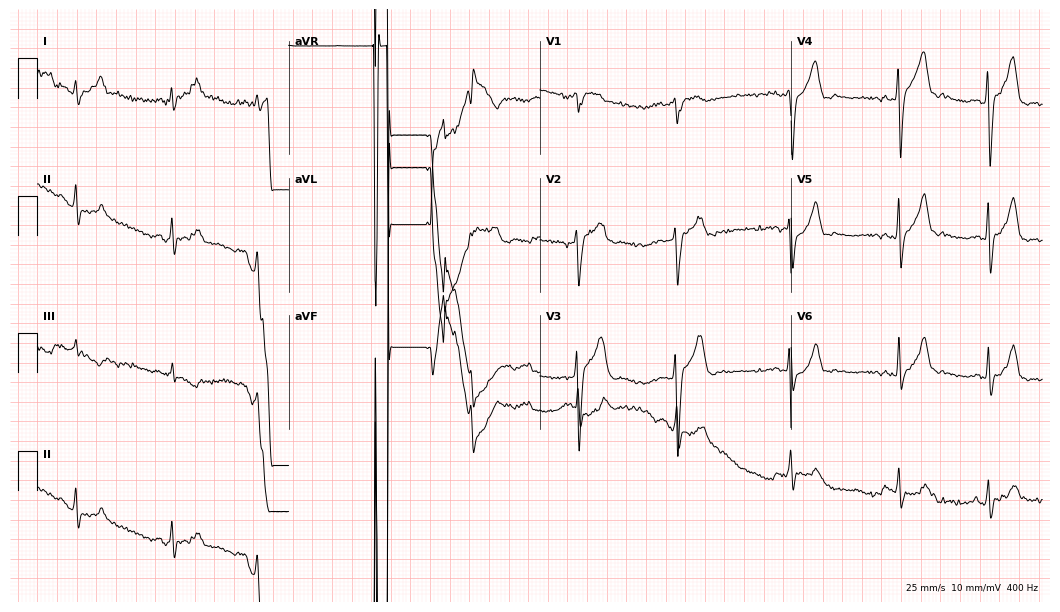
Electrocardiogram, a male, 26 years old. Of the six screened findings (first-degree AV block, right bundle branch block, left bundle branch block, sinus bradycardia, atrial fibrillation, sinus tachycardia), none is recorded. Other findings, if any, are not listed.